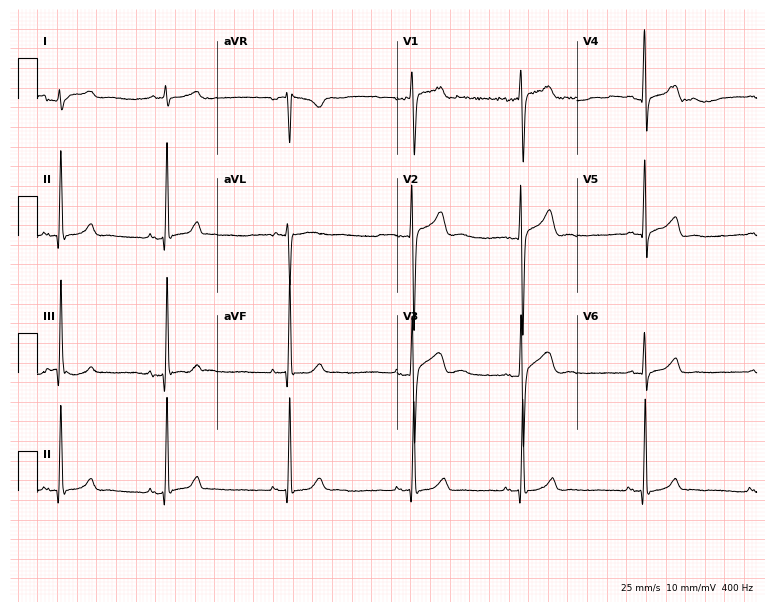
Standard 12-lead ECG recorded from a male patient, 23 years old. The tracing shows sinus bradycardia (a sinus rate of 50 beats per minute or less).